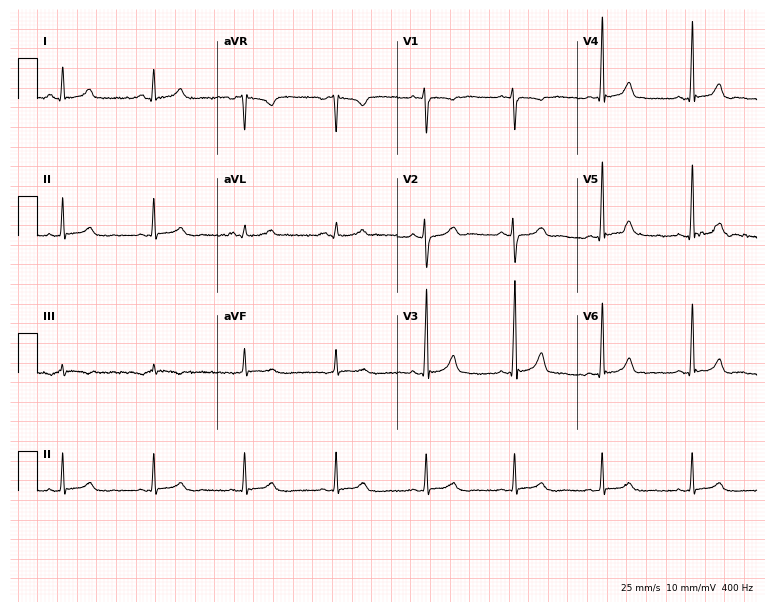
12-lead ECG from a woman, 33 years old (7.3-second recording at 400 Hz). No first-degree AV block, right bundle branch block, left bundle branch block, sinus bradycardia, atrial fibrillation or sinus tachycardia recorded for this tracing. Findings outside these six are not listed.